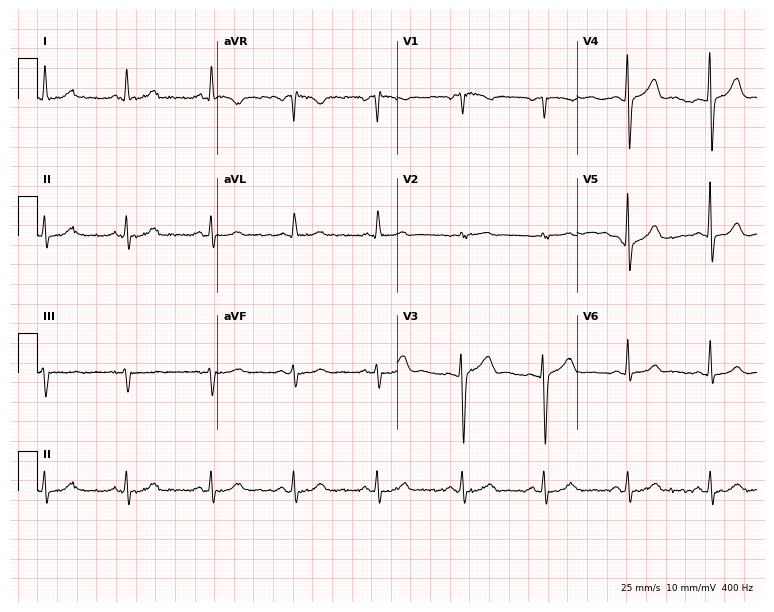
Standard 12-lead ECG recorded from a 42-year-old female. None of these six findings is recorded: first-degree AV block, right bundle branch block (RBBB), left bundle branch block (LBBB), sinus bradycardia, atrial fibrillation (AF), sinus tachycardia. Findings outside these six are not listed.